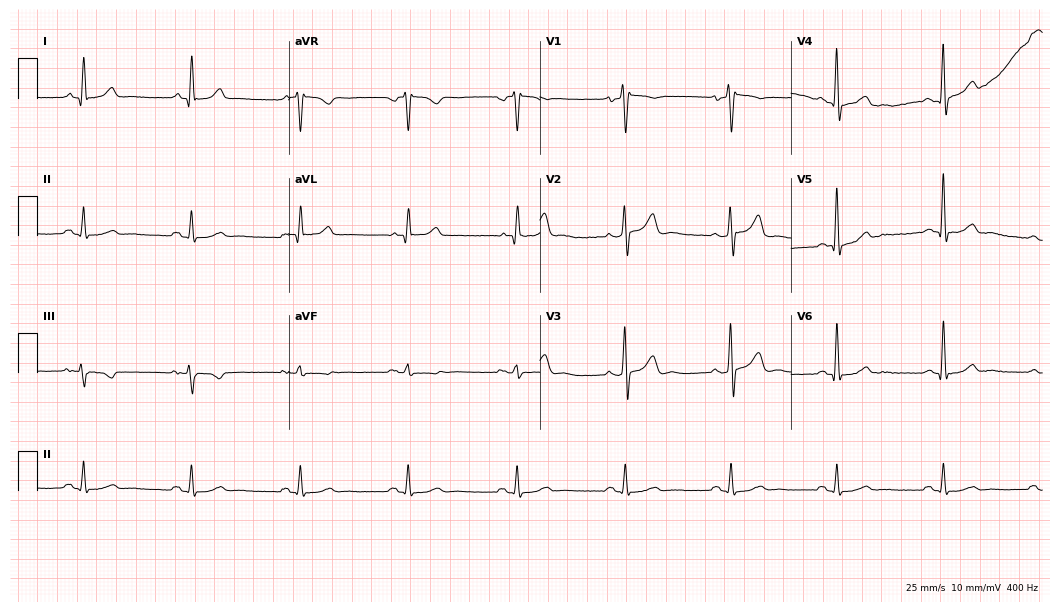
Electrocardiogram, a 53-year-old man. Of the six screened findings (first-degree AV block, right bundle branch block (RBBB), left bundle branch block (LBBB), sinus bradycardia, atrial fibrillation (AF), sinus tachycardia), none is recorded. Only these six findings were labelled.